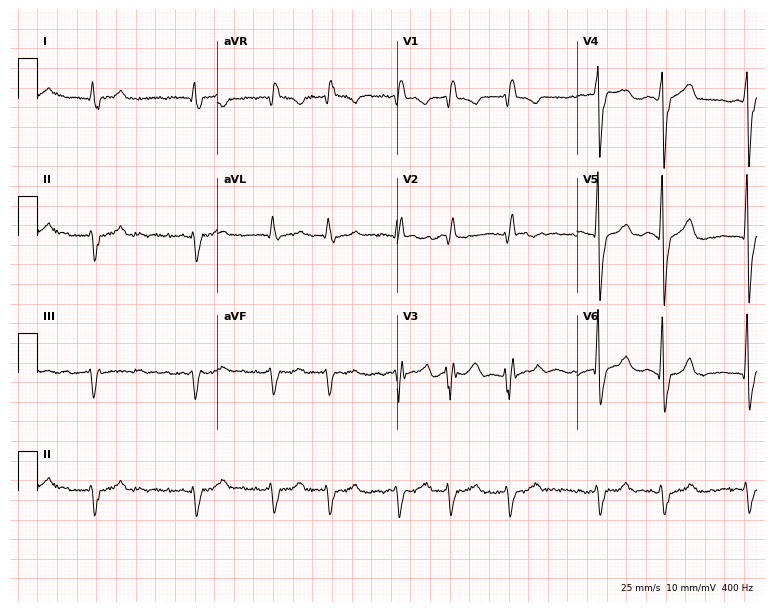
Electrocardiogram (7.3-second recording at 400 Hz), a 76-year-old male patient. Interpretation includes right bundle branch block (RBBB), atrial fibrillation (AF).